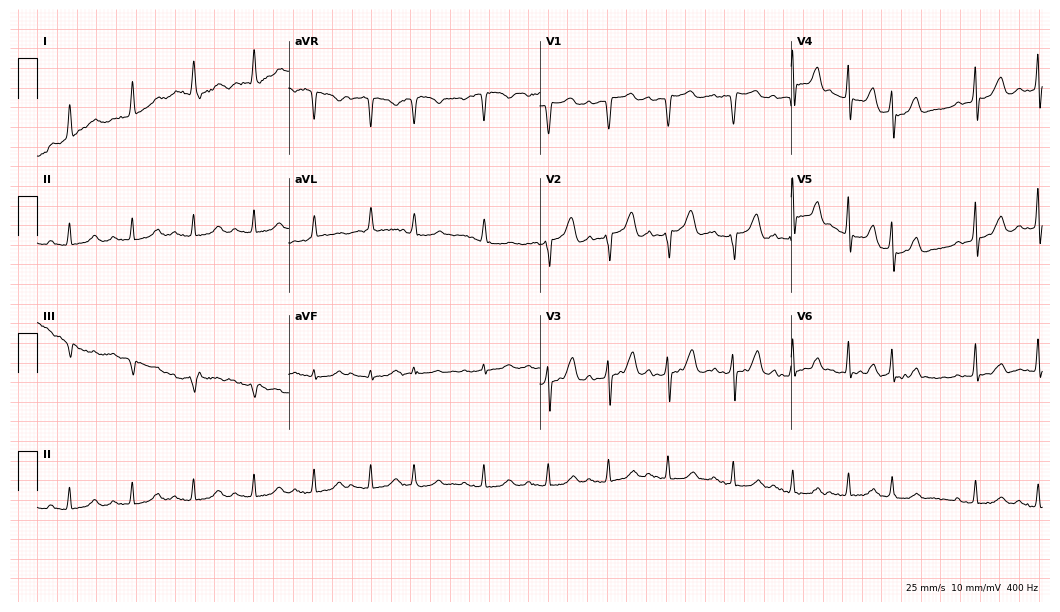
Standard 12-lead ECG recorded from a woman, 79 years old. None of these six findings is recorded: first-degree AV block, right bundle branch block, left bundle branch block, sinus bradycardia, atrial fibrillation, sinus tachycardia. Only these six findings were labelled.